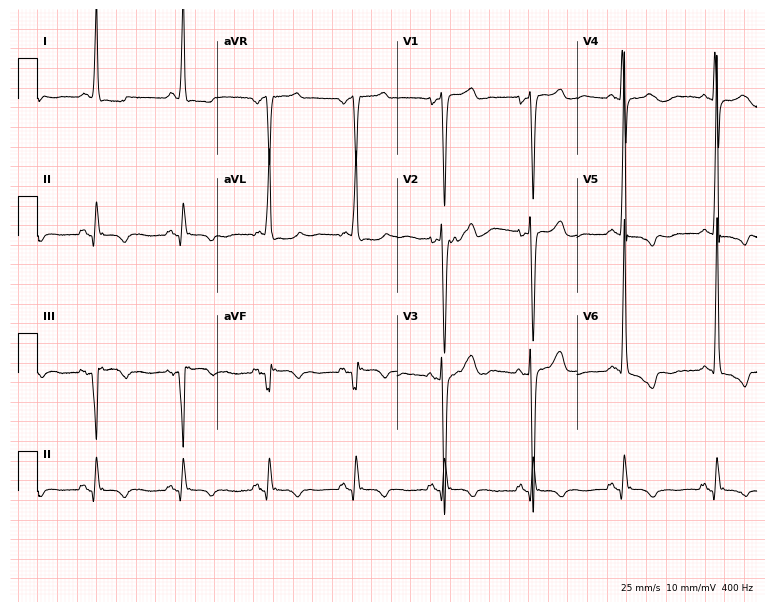
12-lead ECG (7.3-second recording at 400 Hz) from a 60-year-old woman. Screened for six findings — first-degree AV block, right bundle branch block (RBBB), left bundle branch block (LBBB), sinus bradycardia, atrial fibrillation (AF), sinus tachycardia — none is recorded.